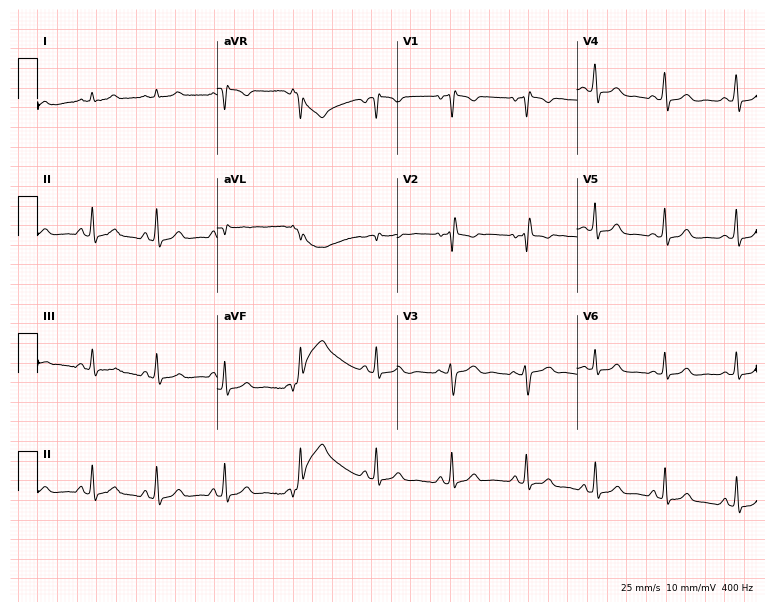
Standard 12-lead ECG recorded from a 29-year-old female patient (7.3-second recording at 400 Hz). None of these six findings is recorded: first-degree AV block, right bundle branch block (RBBB), left bundle branch block (LBBB), sinus bradycardia, atrial fibrillation (AF), sinus tachycardia.